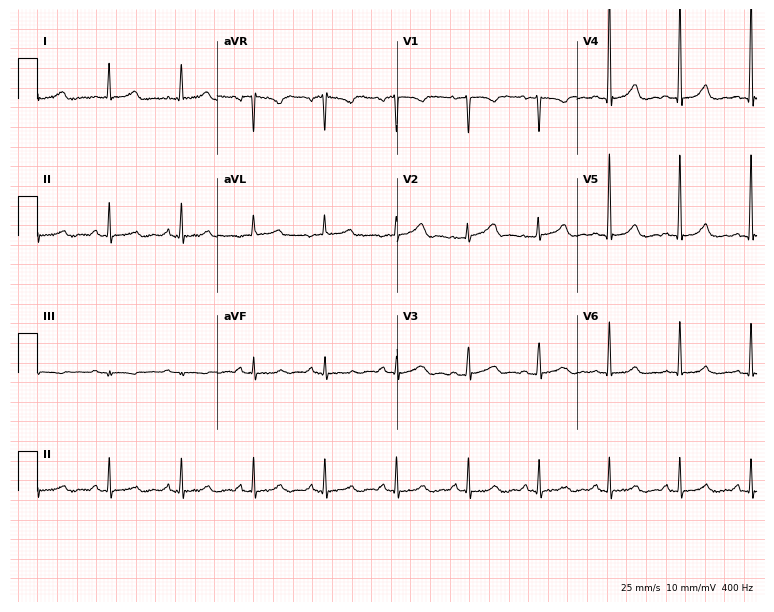
Resting 12-lead electrocardiogram. Patient: a female, 42 years old. None of these six findings is recorded: first-degree AV block, right bundle branch block, left bundle branch block, sinus bradycardia, atrial fibrillation, sinus tachycardia.